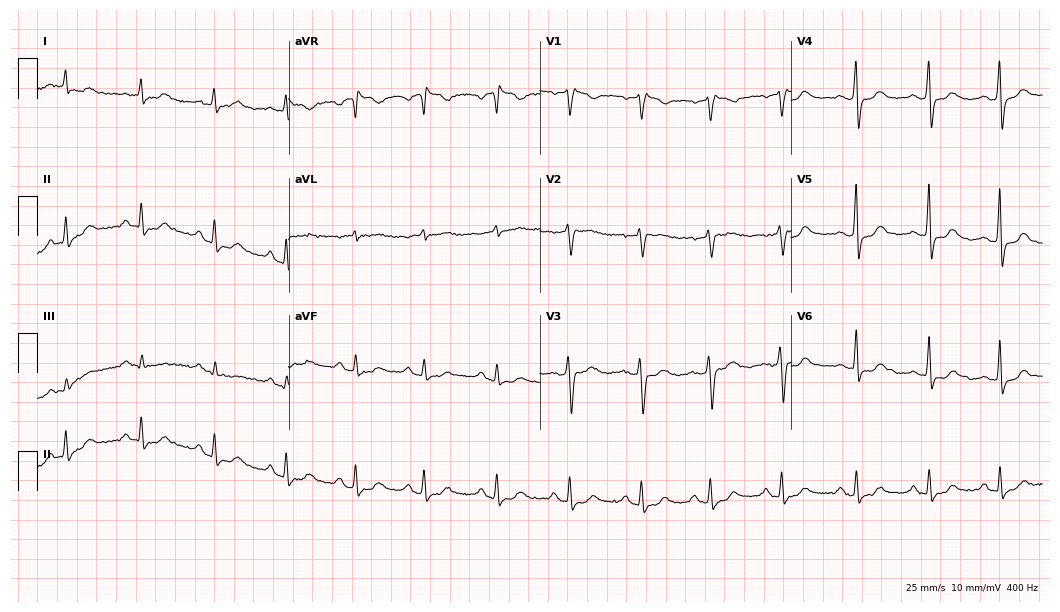
Resting 12-lead electrocardiogram. Patient: a 50-year-old woman. None of these six findings is recorded: first-degree AV block, right bundle branch block, left bundle branch block, sinus bradycardia, atrial fibrillation, sinus tachycardia.